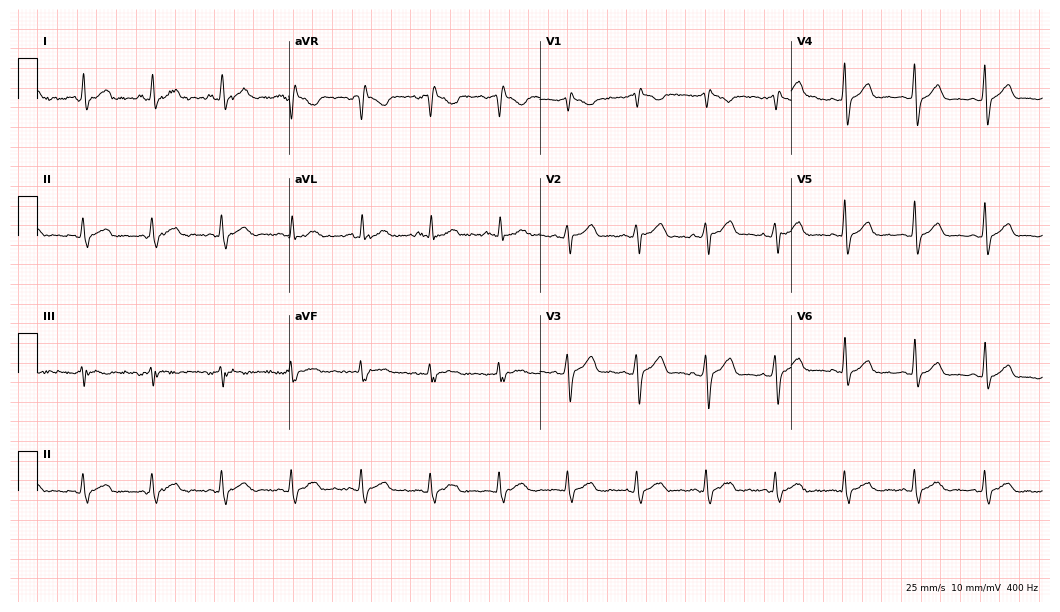
Standard 12-lead ECG recorded from a woman, 48 years old (10.2-second recording at 400 Hz). None of these six findings is recorded: first-degree AV block, right bundle branch block (RBBB), left bundle branch block (LBBB), sinus bradycardia, atrial fibrillation (AF), sinus tachycardia.